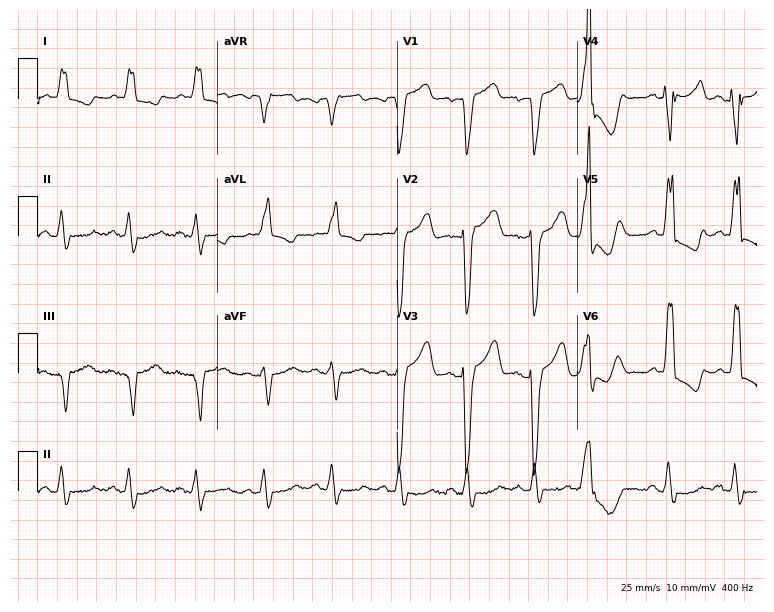
ECG — an 82-year-old male patient. Findings include left bundle branch block.